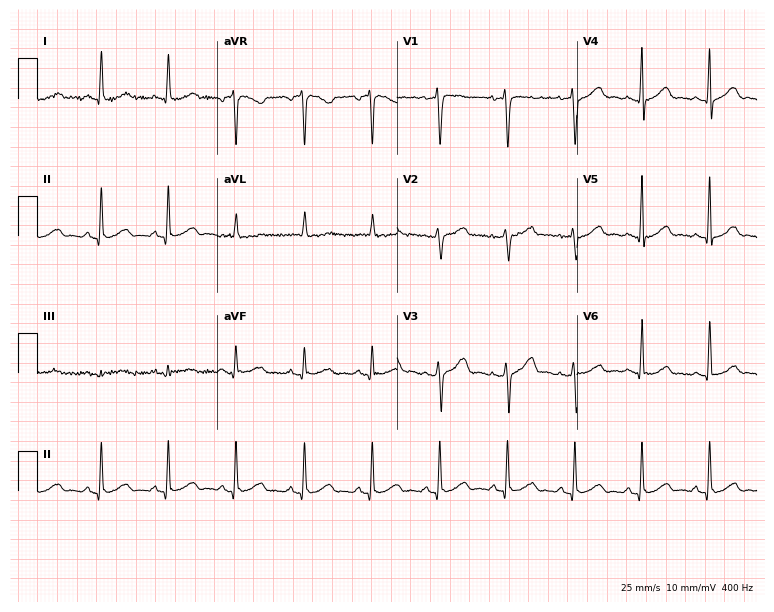
Electrocardiogram (7.3-second recording at 400 Hz), a 45-year-old female. Overall reading on record: normal ECG.